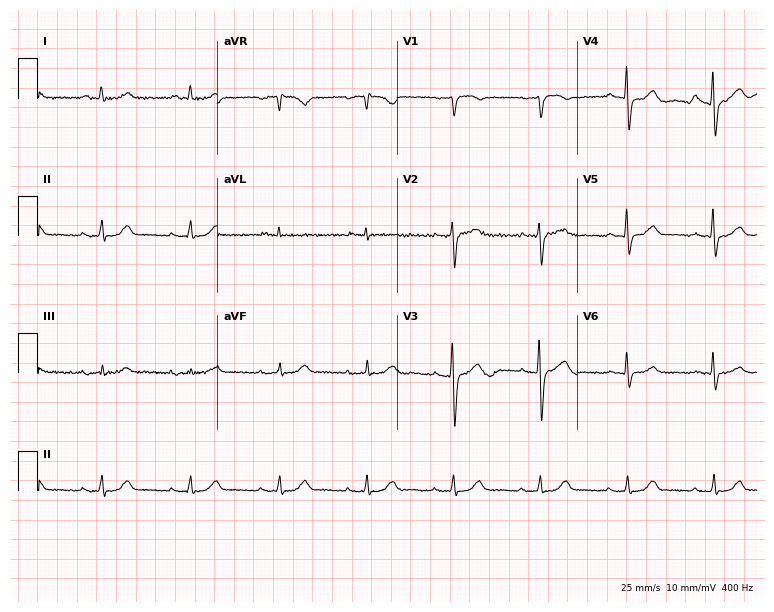
Standard 12-lead ECG recorded from a male, 71 years old. Read as a normal ECG.